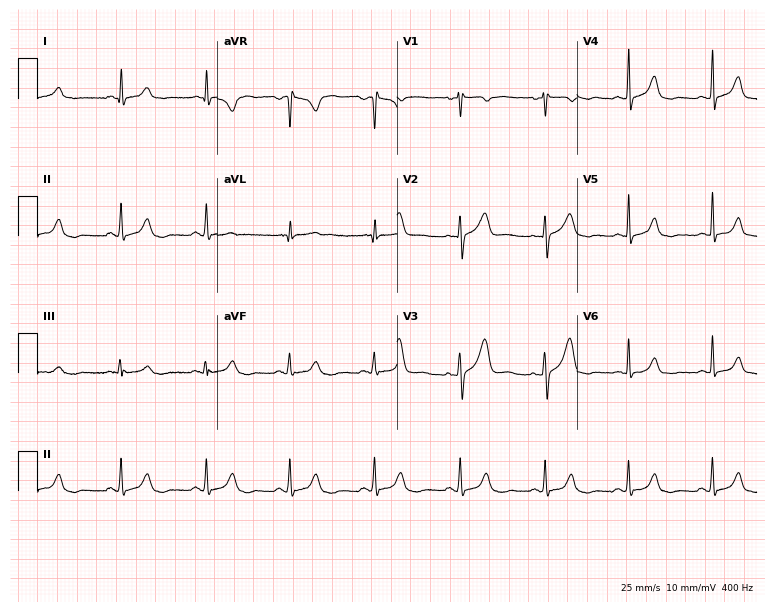
Electrocardiogram, a 41-year-old woman. Overall reading on record: normal ECG.